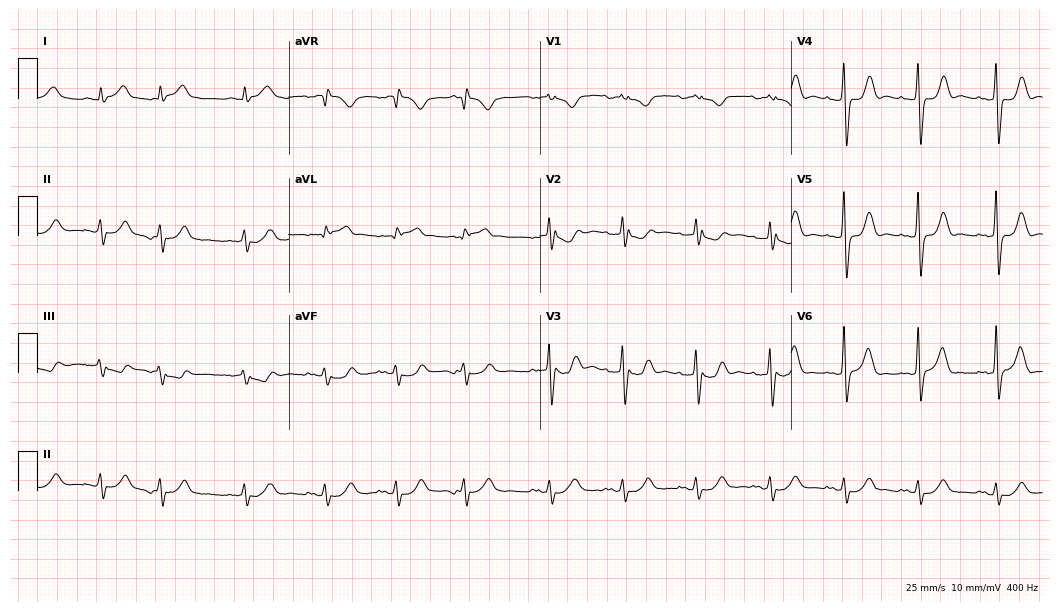
Standard 12-lead ECG recorded from a 70-year-old male (10.2-second recording at 400 Hz). None of these six findings is recorded: first-degree AV block, right bundle branch block, left bundle branch block, sinus bradycardia, atrial fibrillation, sinus tachycardia.